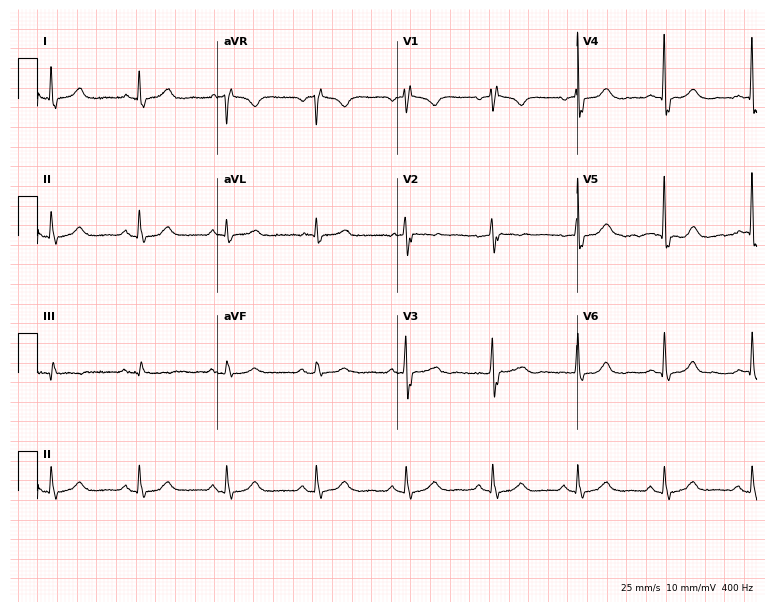
12-lead ECG from a female, 63 years old. Screened for six findings — first-degree AV block, right bundle branch block, left bundle branch block, sinus bradycardia, atrial fibrillation, sinus tachycardia — none is recorded. Findings outside these six are not listed.